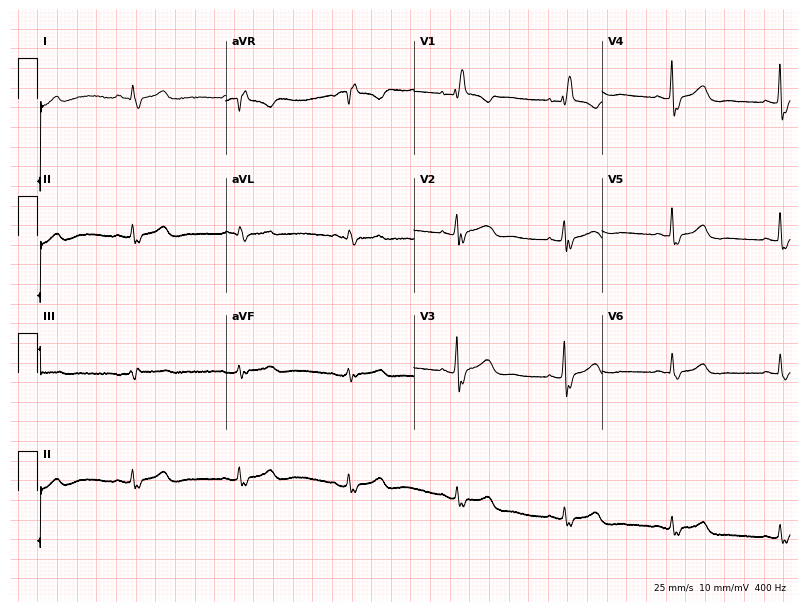
ECG — a 71-year-old woman. Screened for six findings — first-degree AV block, right bundle branch block (RBBB), left bundle branch block (LBBB), sinus bradycardia, atrial fibrillation (AF), sinus tachycardia — none is recorded. Findings outside these six are not listed.